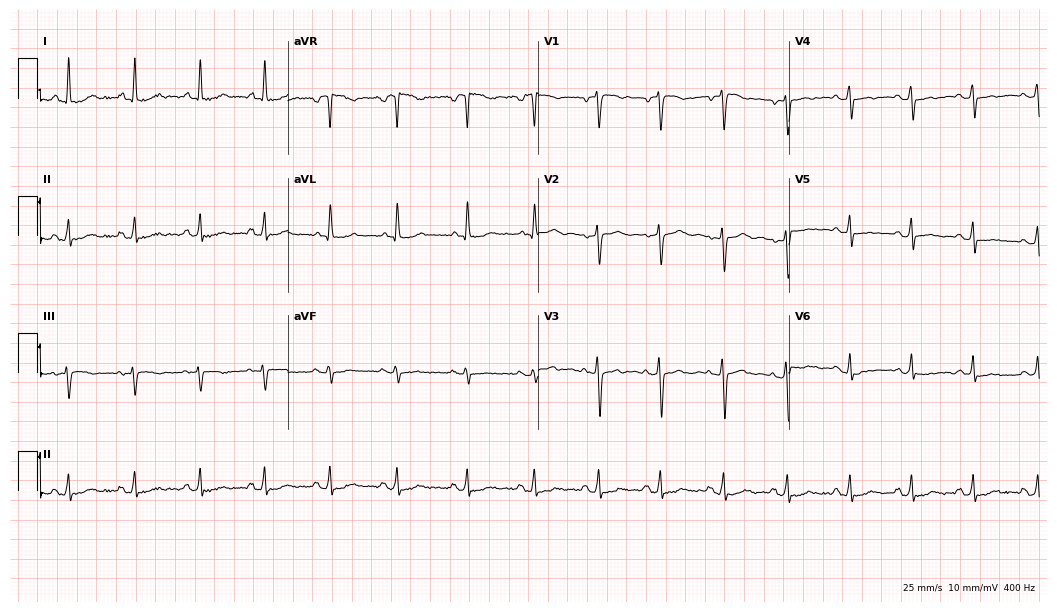
Standard 12-lead ECG recorded from a female patient, 43 years old. None of these six findings is recorded: first-degree AV block, right bundle branch block, left bundle branch block, sinus bradycardia, atrial fibrillation, sinus tachycardia.